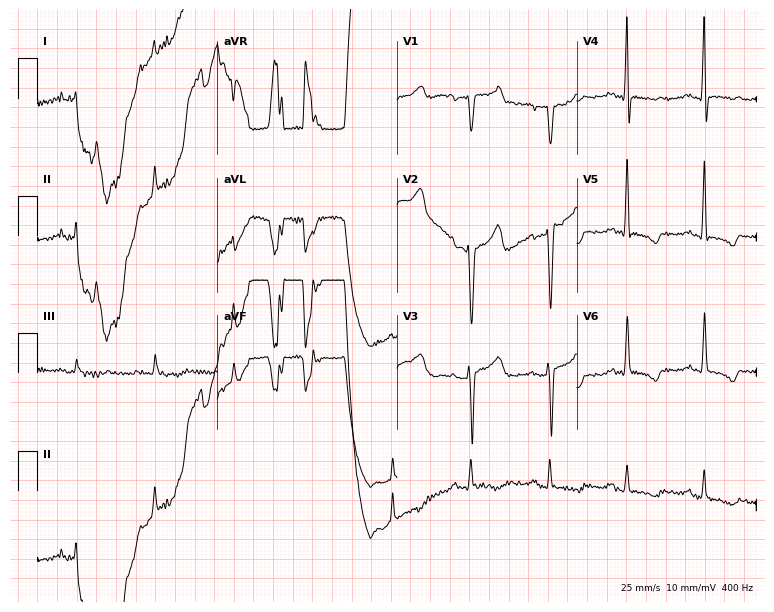
Electrocardiogram (7.3-second recording at 400 Hz), a man, 65 years old. Of the six screened findings (first-degree AV block, right bundle branch block, left bundle branch block, sinus bradycardia, atrial fibrillation, sinus tachycardia), none is recorded.